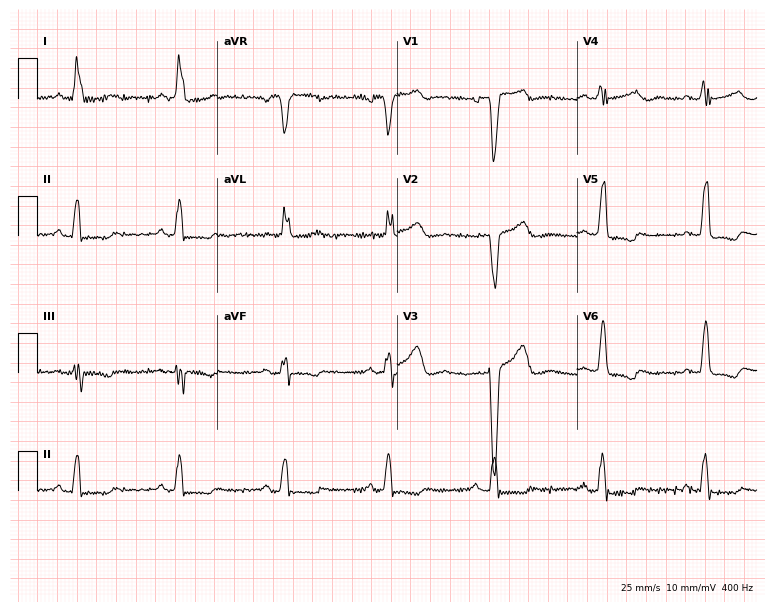
12-lead ECG (7.3-second recording at 400 Hz) from a 55-year-old woman. Findings include left bundle branch block.